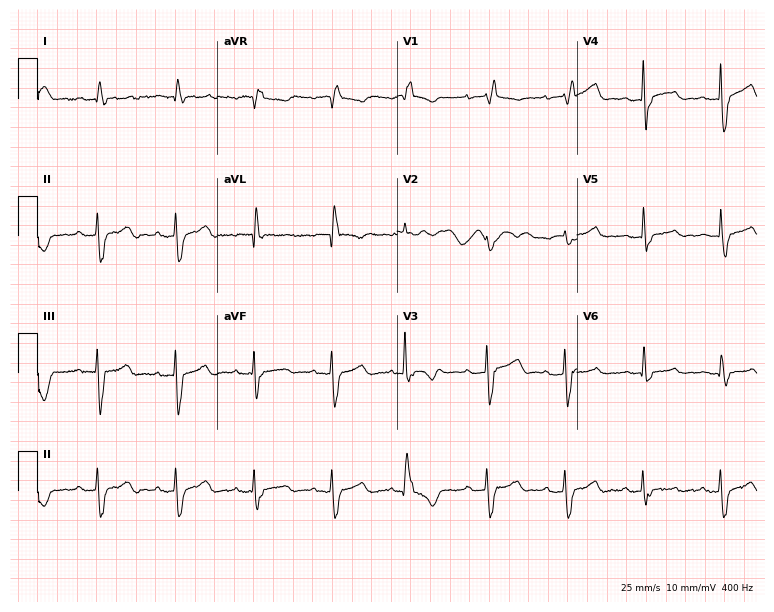
12-lead ECG from a female patient, 80 years old. Shows right bundle branch block.